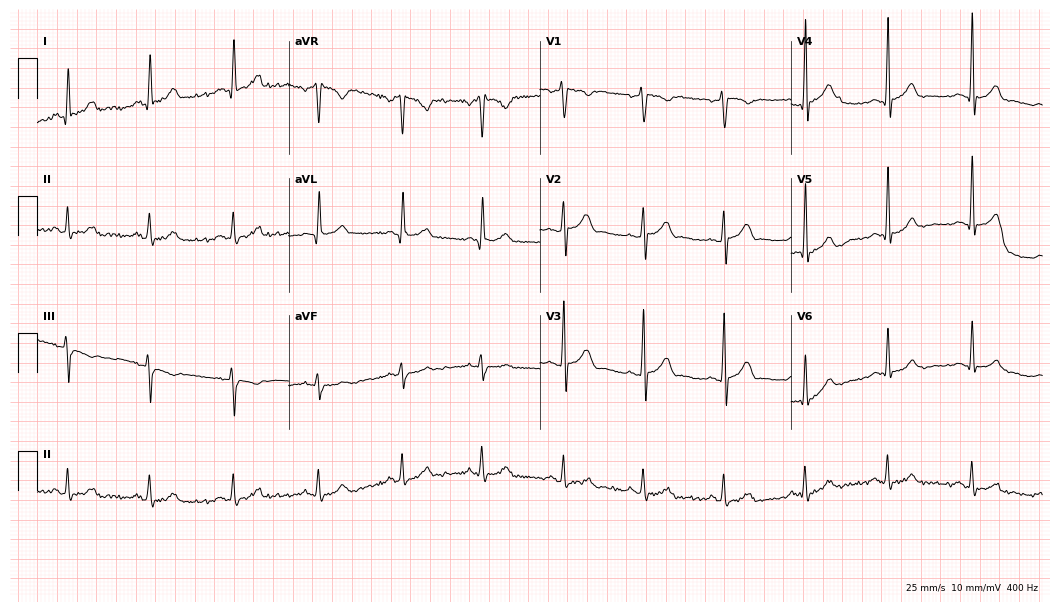
ECG — a male, 39 years old. Labelled as a normal ECG.